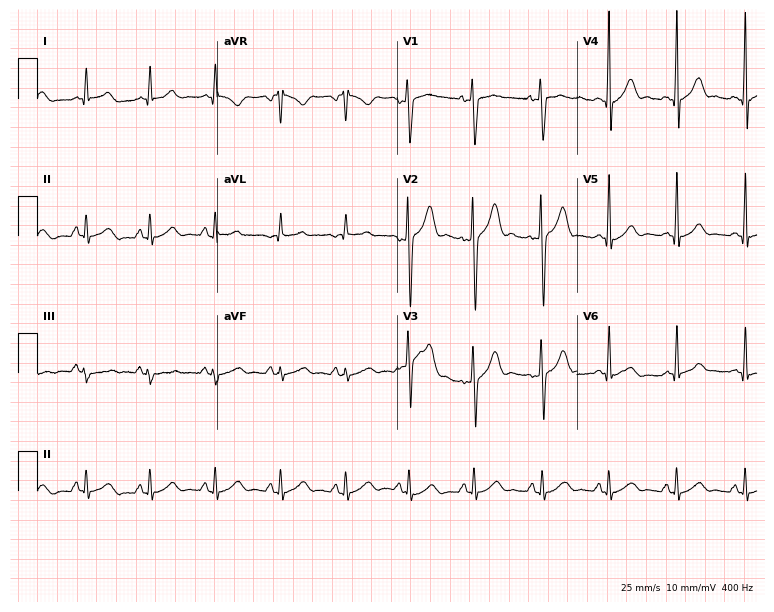
12-lead ECG from a man, 24 years old. Screened for six findings — first-degree AV block, right bundle branch block (RBBB), left bundle branch block (LBBB), sinus bradycardia, atrial fibrillation (AF), sinus tachycardia — none is recorded.